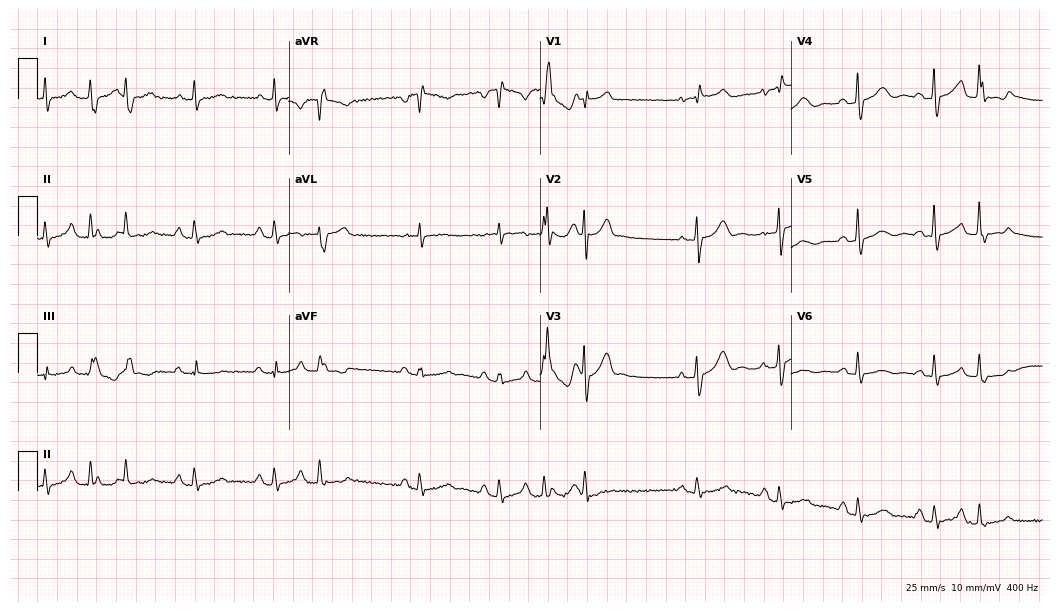
Electrocardiogram (10.2-second recording at 400 Hz), a woman, 71 years old. Of the six screened findings (first-degree AV block, right bundle branch block, left bundle branch block, sinus bradycardia, atrial fibrillation, sinus tachycardia), none is recorded.